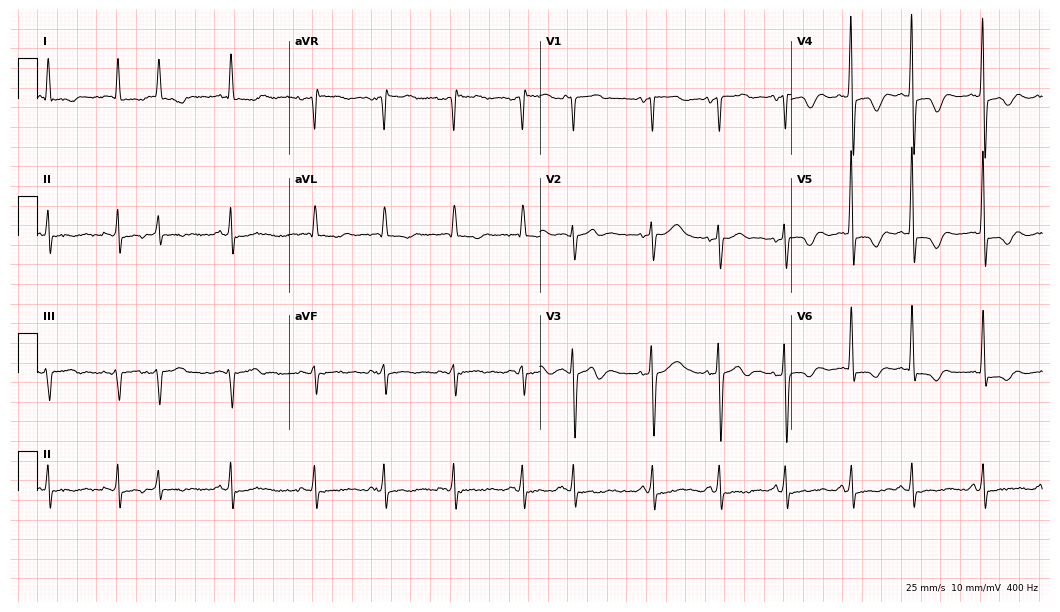
Standard 12-lead ECG recorded from a male patient, 69 years old (10.2-second recording at 400 Hz). None of these six findings is recorded: first-degree AV block, right bundle branch block, left bundle branch block, sinus bradycardia, atrial fibrillation, sinus tachycardia.